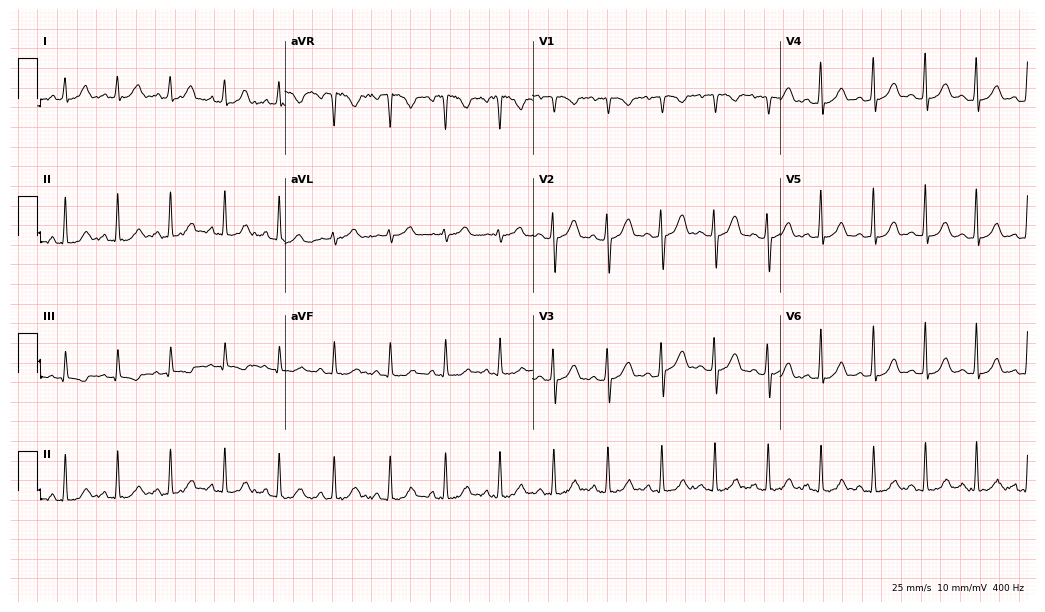
Standard 12-lead ECG recorded from a woman, 19 years old. The tracing shows sinus tachycardia (a sinus rate of 100 beats per minute or more).